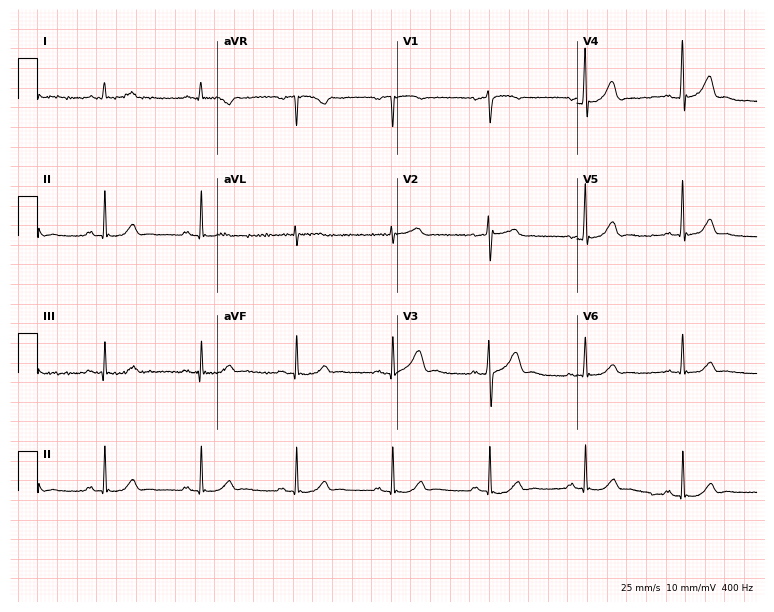
ECG — a 52-year-old man. Labelled as a normal ECG.